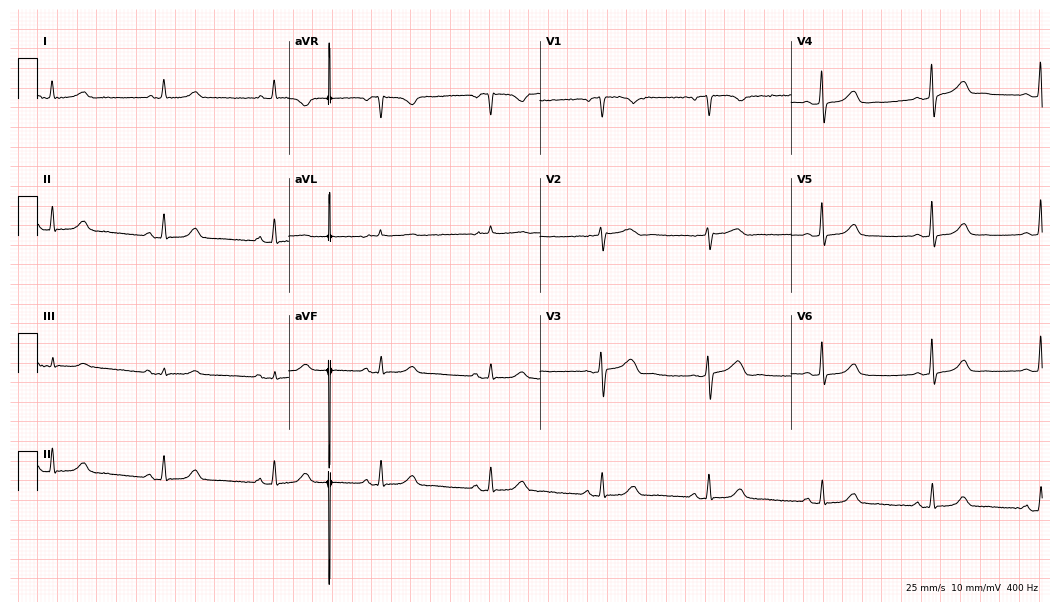
ECG (10.2-second recording at 400 Hz) — a 57-year-old female. Labelled as a normal ECG.